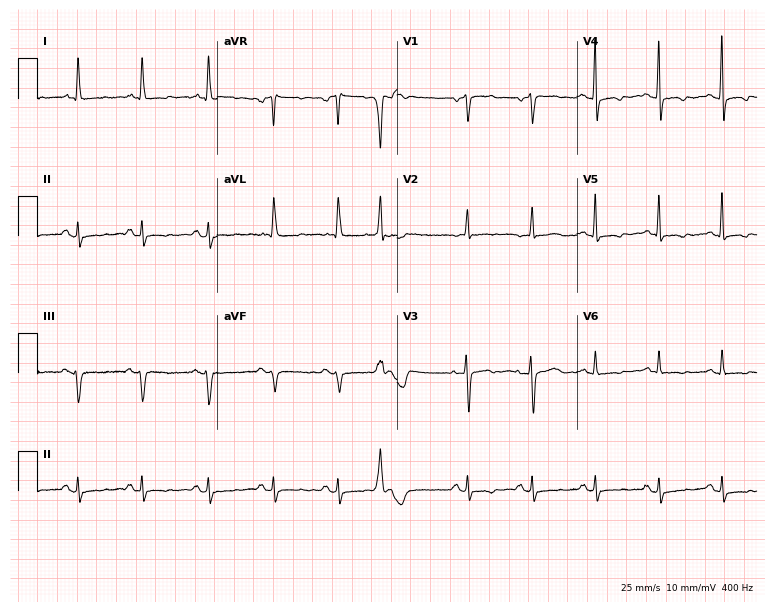
12-lead ECG (7.3-second recording at 400 Hz) from a 76-year-old woman. Labelled as a normal ECG.